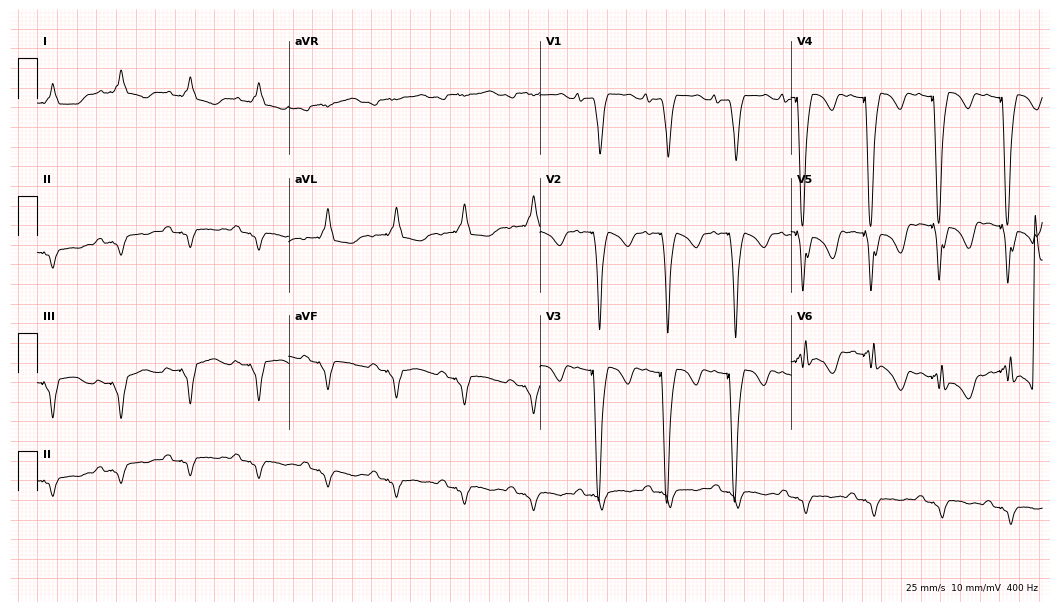
12-lead ECG (10.2-second recording at 400 Hz) from a 70-year-old female. Screened for six findings — first-degree AV block, right bundle branch block, left bundle branch block, sinus bradycardia, atrial fibrillation, sinus tachycardia — none is recorded. Other findings, if any, are not listed.